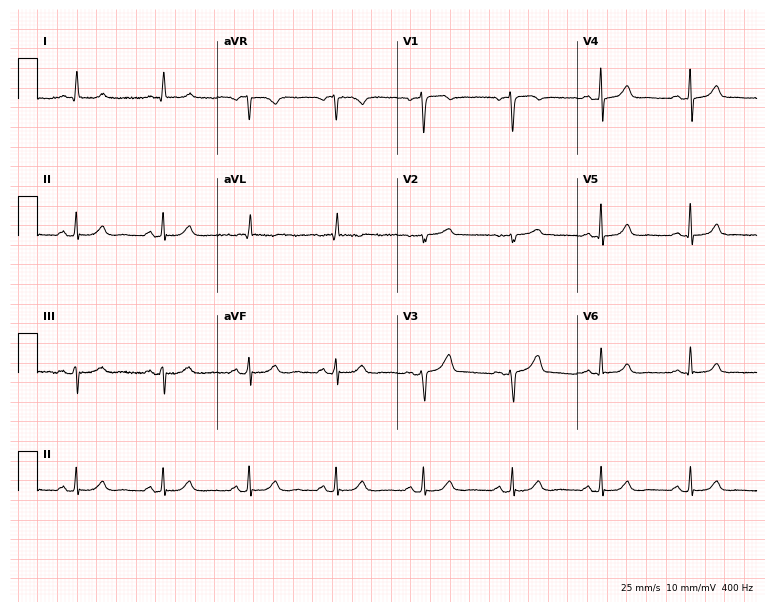
ECG — a 65-year-old woman. Labelled as a normal ECG.